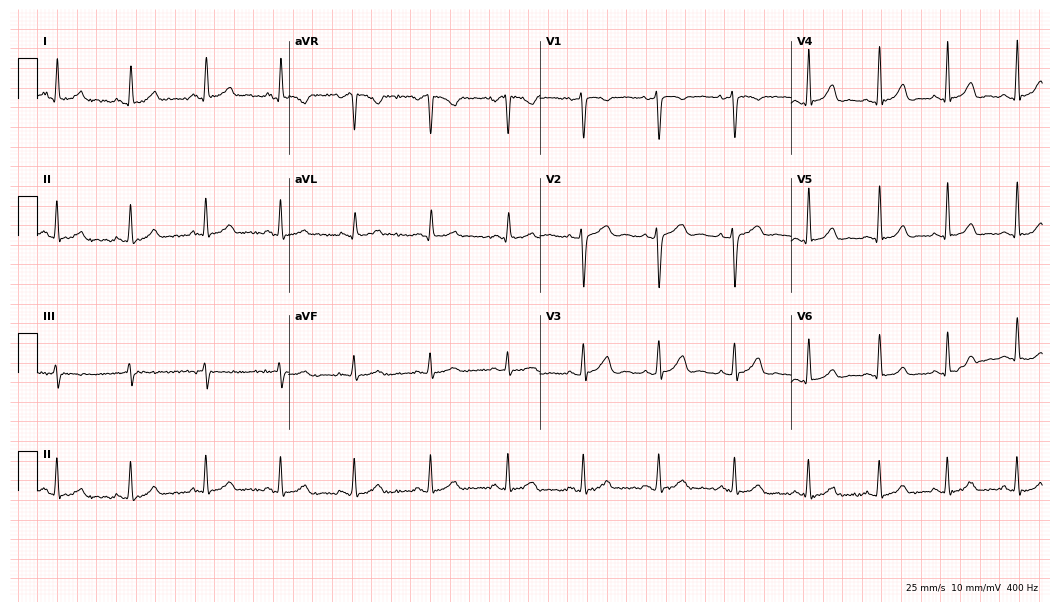
Electrocardiogram, a female patient, 40 years old. Overall reading on record: normal ECG.